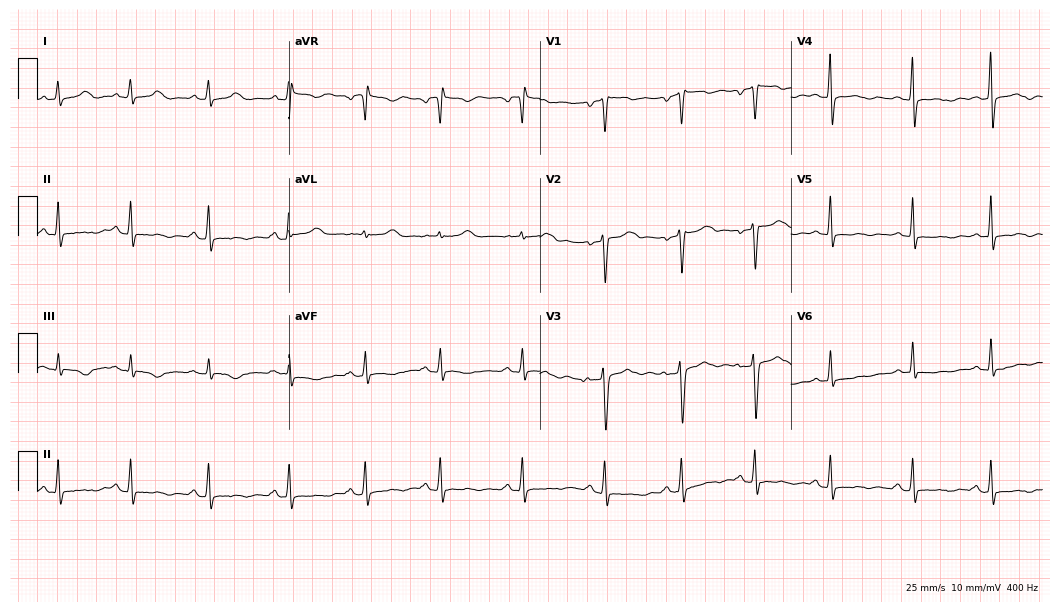
12-lead ECG from a 40-year-old woman. No first-degree AV block, right bundle branch block (RBBB), left bundle branch block (LBBB), sinus bradycardia, atrial fibrillation (AF) or sinus tachycardia recorded for this tracing.